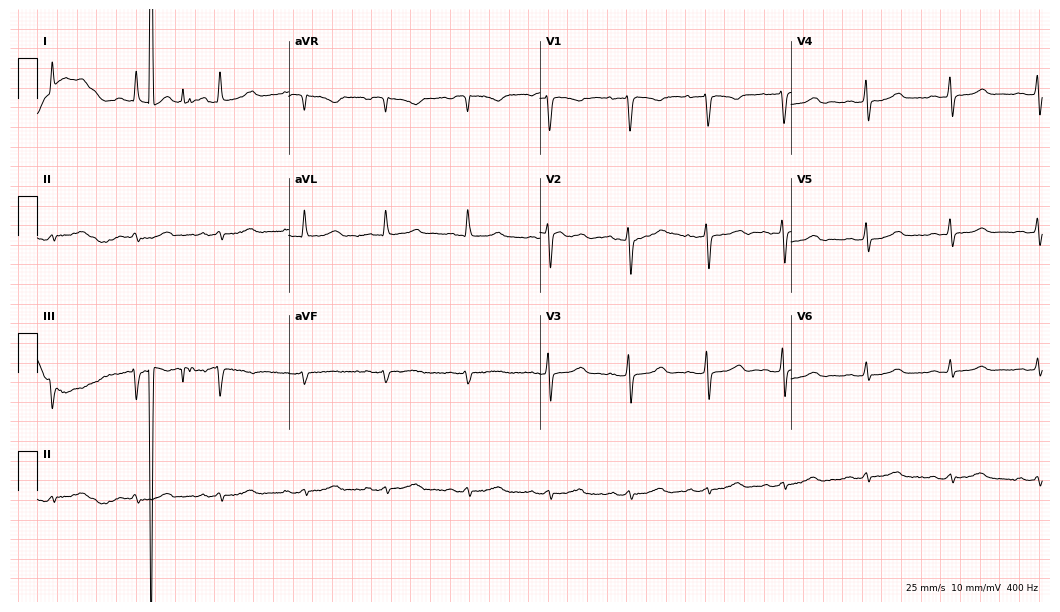
12-lead ECG from a female, 50 years old (10.2-second recording at 400 Hz). No first-degree AV block, right bundle branch block, left bundle branch block, sinus bradycardia, atrial fibrillation or sinus tachycardia recorded for this tracing. Only these six findings were labelled.